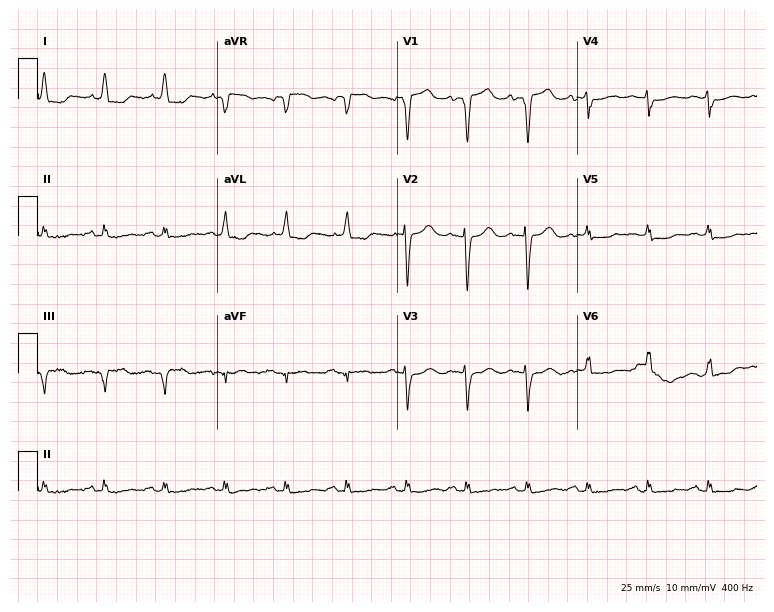
Electrocardiogram, a woman, 81 years old. Of the six screened findings (first-degree AV block, right bundle branch block, left bundle branch block, sinus bradycardia, atrial fibrillation, sinus tachycardia), none is recorded. Only these six findings were labelled.